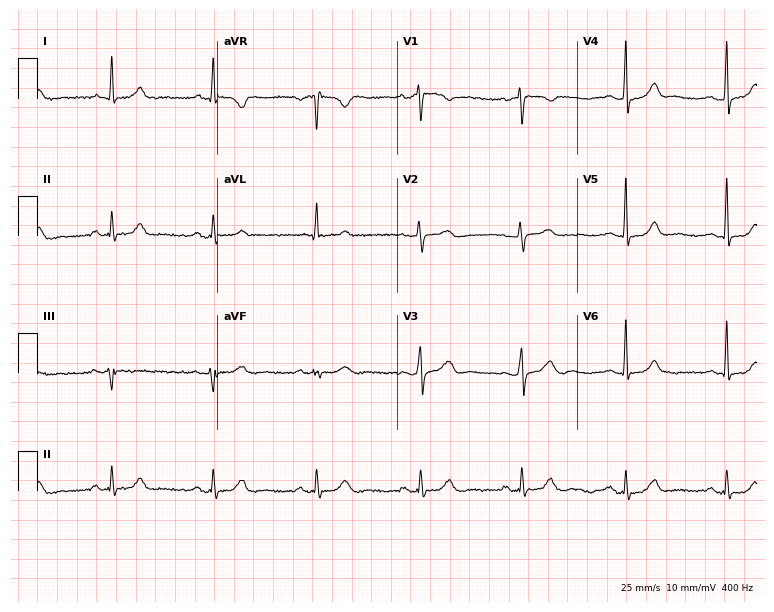
12-lead ECG from a 55-year-old woman (7.3-second recording at 400 Hz). Recorded interpretation: within normal limits.